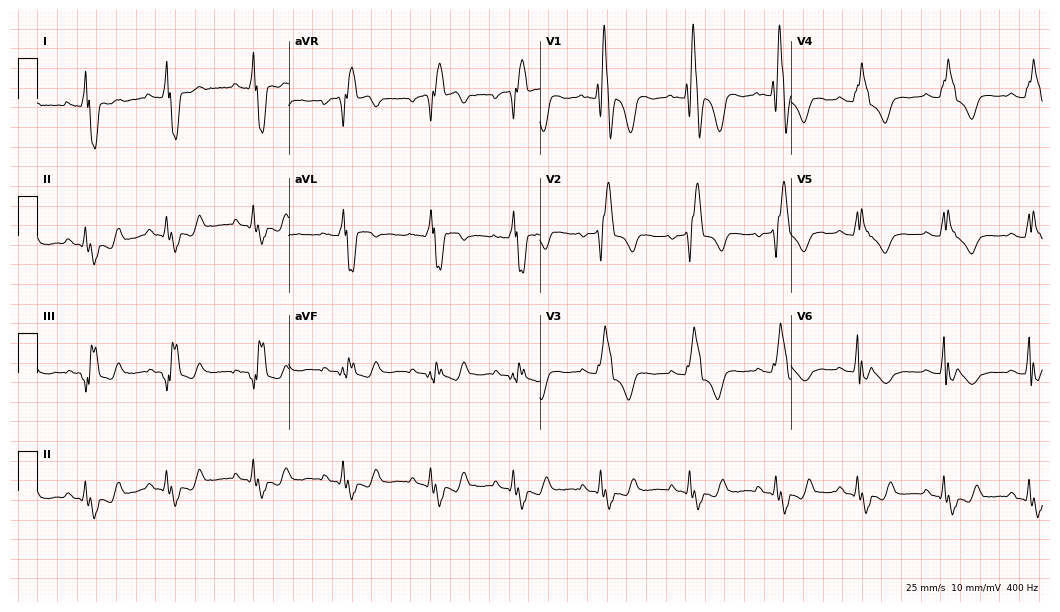
Resting 12-lead electrocardiogram. Patient: a 22-year-old female. The tracing shows right bundle branch block.